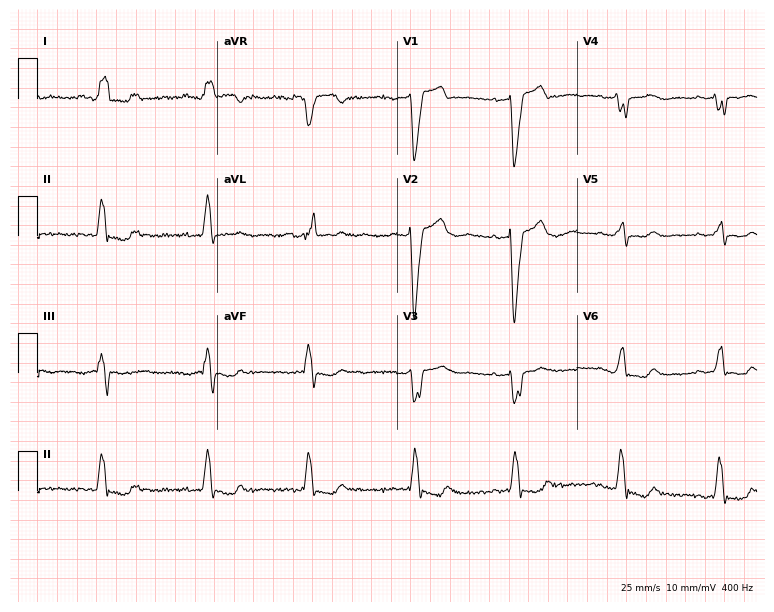
Electrocardiogram, an 80-year-old female. Interpretation includes left bundle branch block (LBBB).